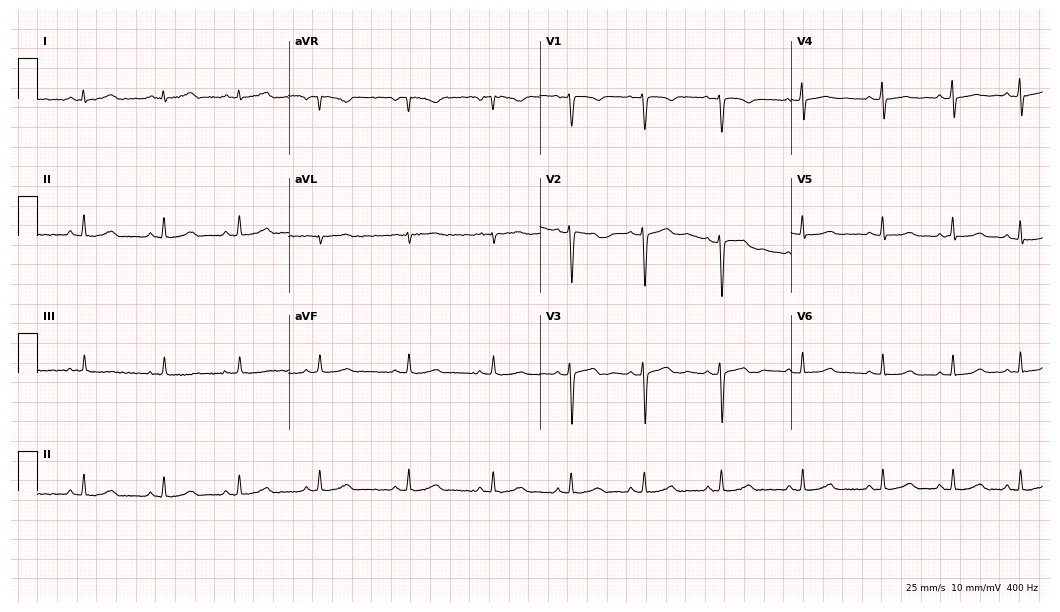
Standard 12-lead ECG recorded from a female patient, 27 years old (10.2-second recording at 400 Hz). Read as a normal ECG.